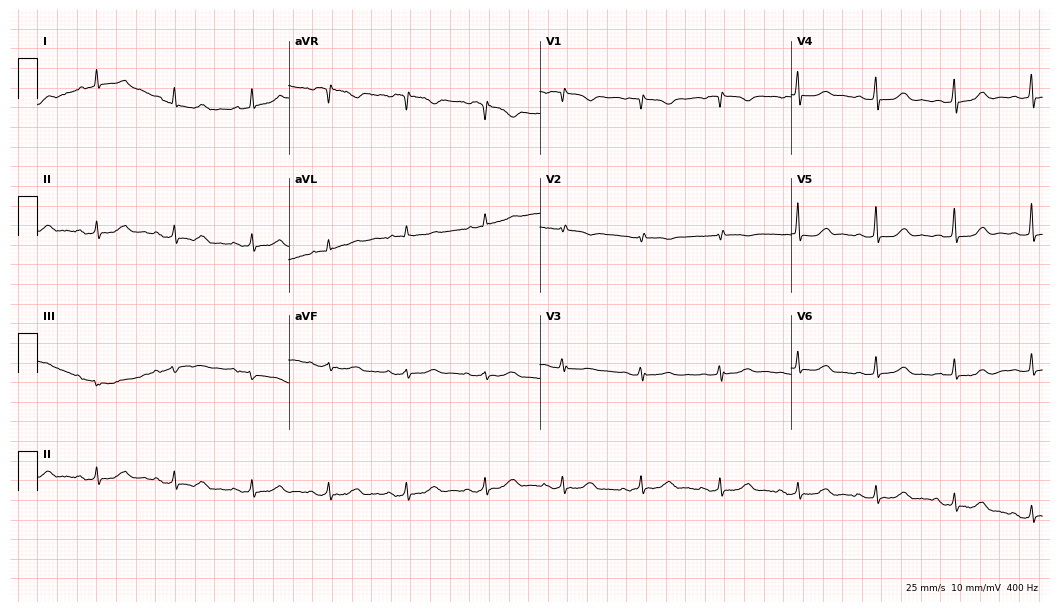
12-lead ECG from a woman, 64 years old. No first-degree AV block, right bundle branch block (RBBB), left bundle branch block (LBBB), sinus bradycardia, atrial fibrillation (AF) or sinus tachycardia recorded for this tracing.